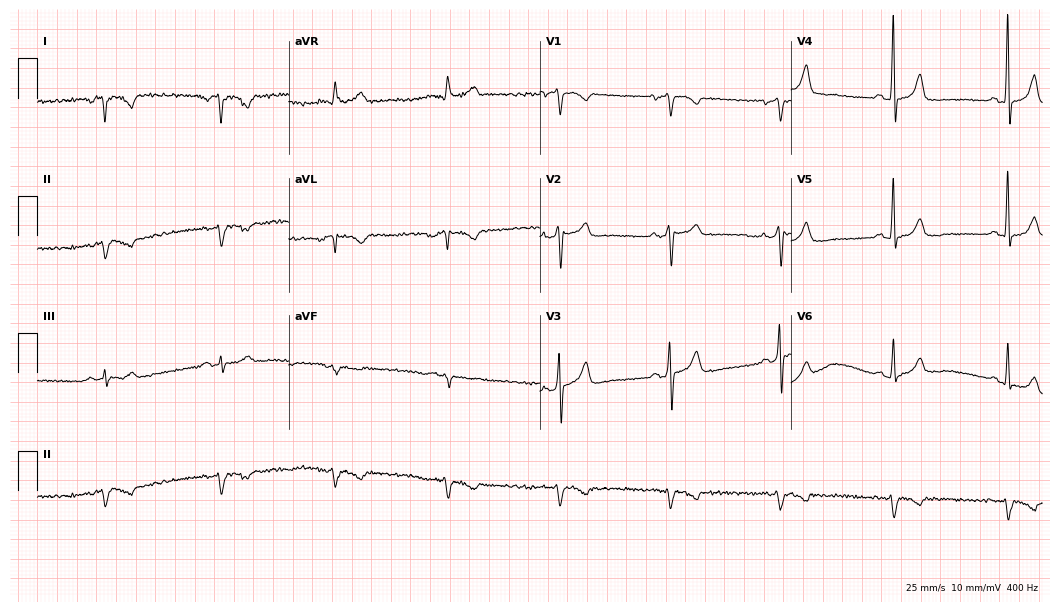
12-lead ECG from a 78-year-old man (10.2-second recording at 400 Hz). No first-degree AV block, right bundle branch block, left bundle branch block, sinus bradycardia, atrial fibrillation or sinus tachycardia recorded for this tracing.